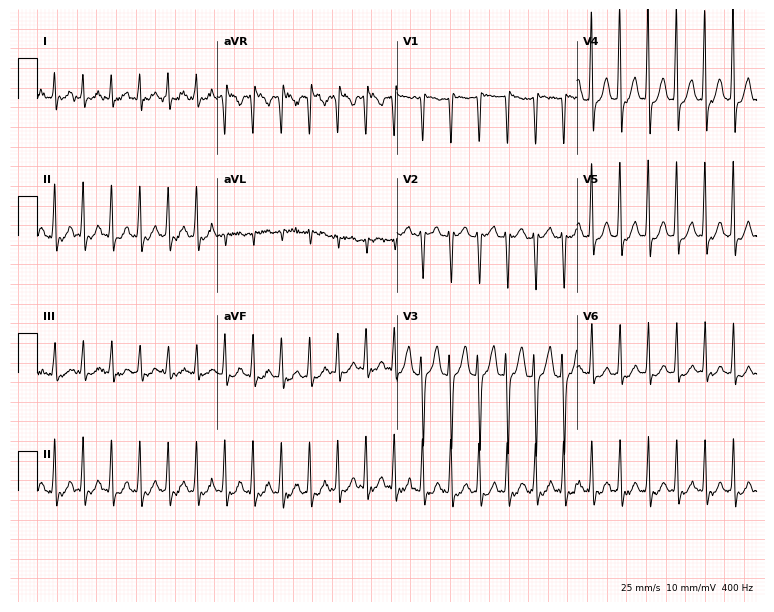
Resting 12-lead electrocardiogram (7.3-second recording at 400 Hz). Patient: a 37-year-old female. The tracing shows sinus tachycardia (a sinus rate of 100 beats per minute or more).